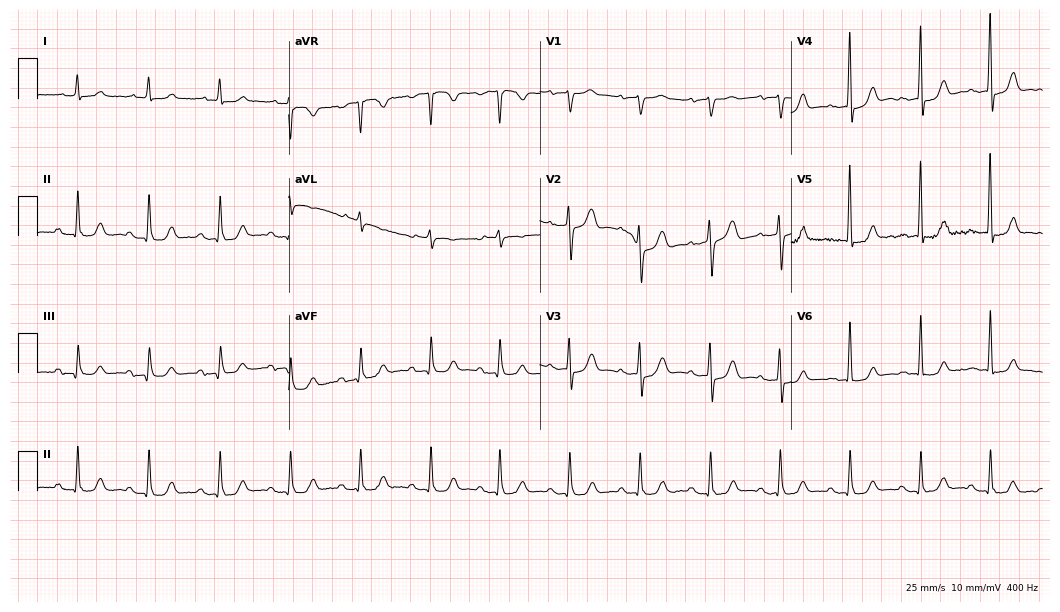
Electrocardiogram, a male patient, 79 years old. Overall reading on record: normal ECG.